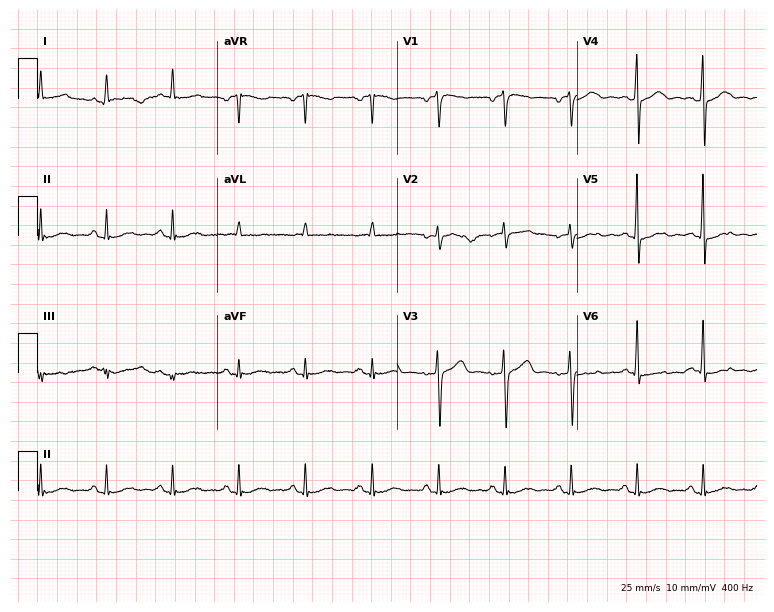
Resting 12-lead electrocardiogram. Patient: a 62-year-old male. None of these six findings is recorded: first-degree AV block, right bundle branch block, left bundle branch block, sinus bradycardia, atrial fibrillation, sinus tachycardia. Other findings, if any, are not listed.